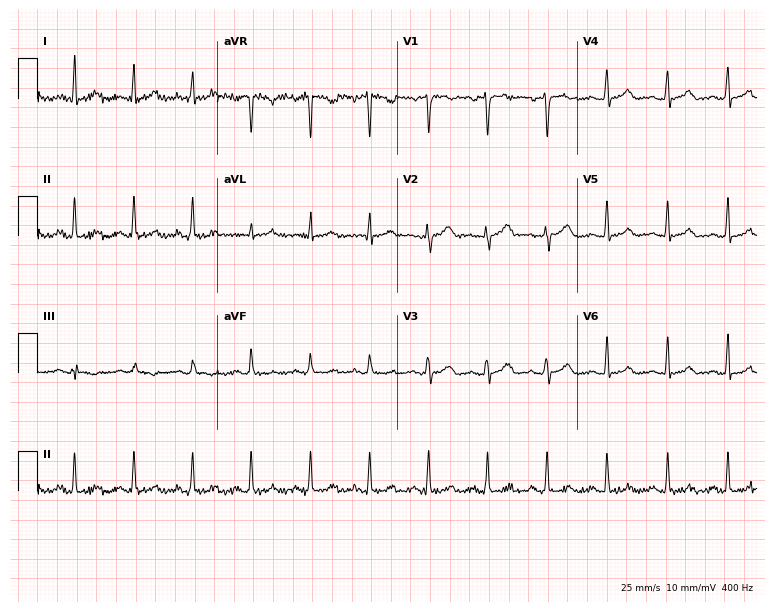
Standard 12-lead ECG recorded from a female patient, 31 years old (7.3-second recording at 400 Hz). None of these six findings is recorded: first-degree AV block, right bundle branch block, left bundle branch block, sinus bradycardia, atrial fibrillation, sinus tachycardia. Findings outside these six are not listed.